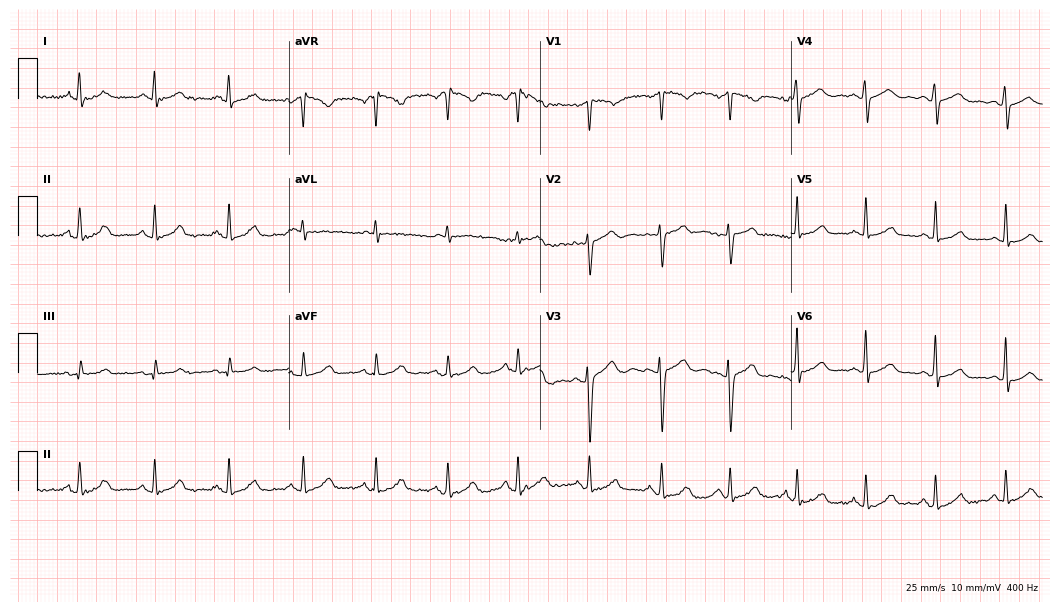
12-lead ECG from a woman, 45 years old. Labelled as a normal ECG.